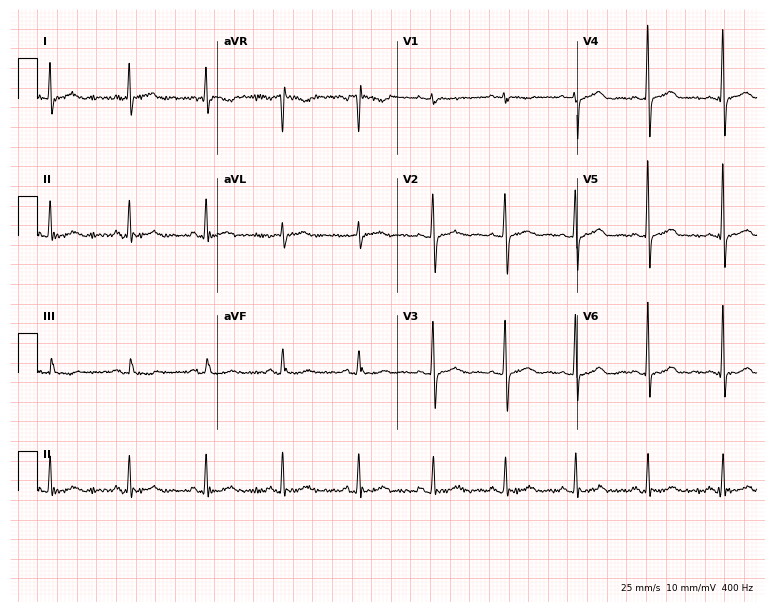
12-lead ECG from a 57-year-old woman (7.3-second recording at 400 Hz). Recorded interpretation: within normal limits.